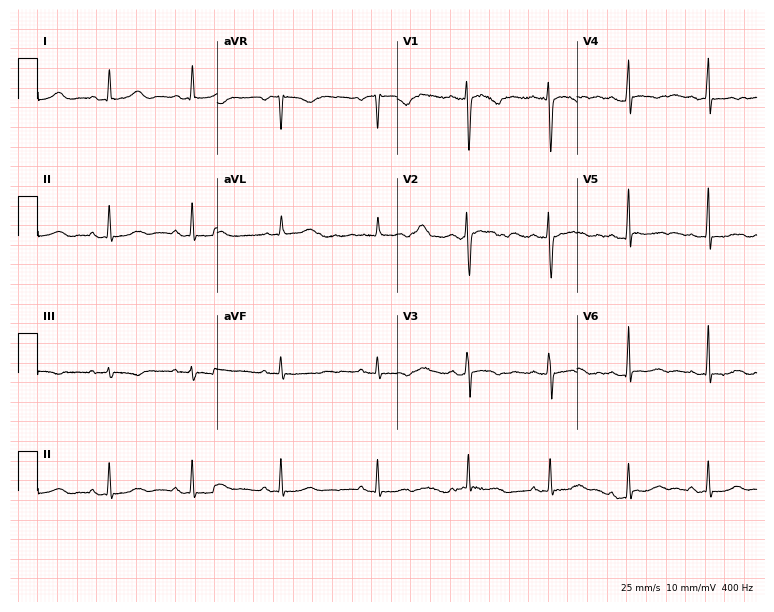
Electrocardiogram, a 26-year-old woman. Of the six screened findings (first-degree AV block, right bundle branch block (RBBB), left bundle branch block (LBBB), sinus bradycardia, atrial fibrillation (AF), sinus tachycardia), none is recorded.